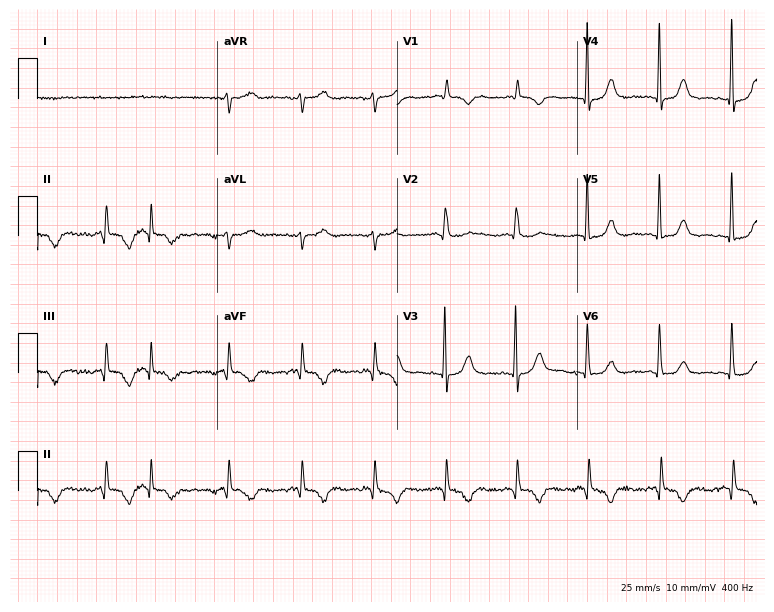
Electrocardiogram (7.3-second recording at 400 Hz), an 83-year-old female patient. Of the six screened findings (first-degree AV block, right bundle branch block, left bundle branch block, sinus bradycardia, atrial fibrillation, sinus tachycardia), none is recorded.